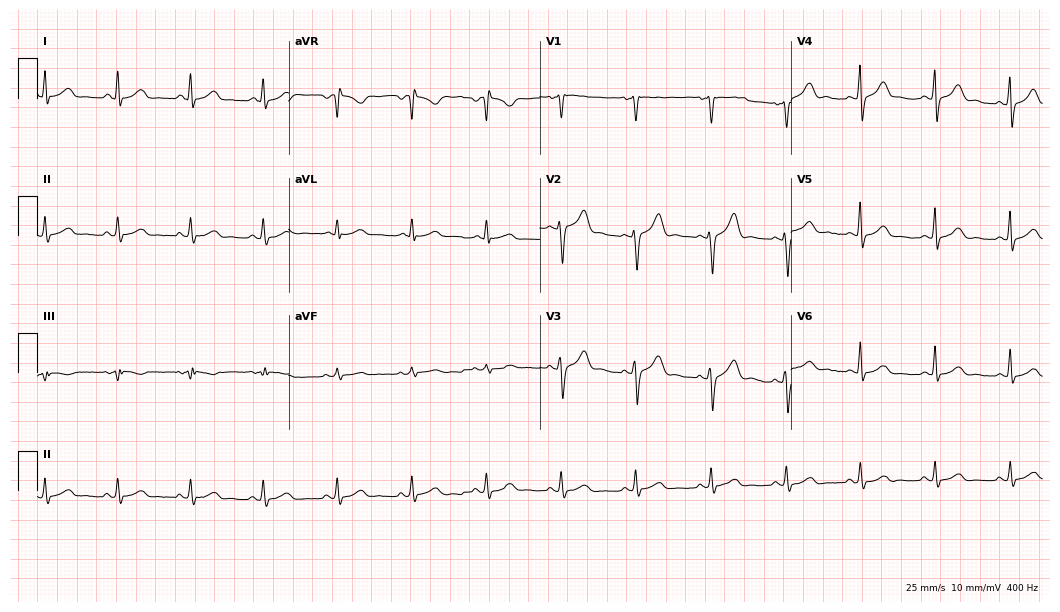
Electrocardiogram (10.2-second recording at 400 Hz), a man, 51 years old. Overall reading on record: normal ECG.